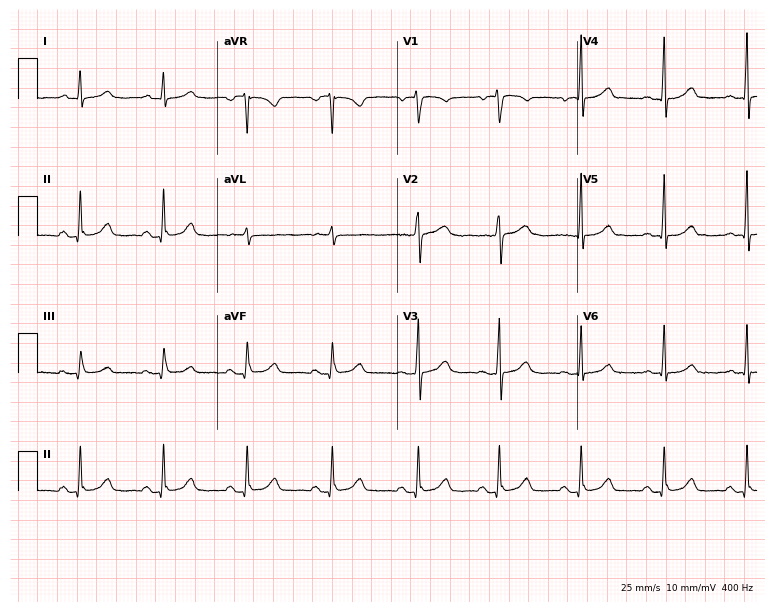
ECG (7.3-second recording at 400 Hz) — a female patient, 53 years old. Labelled as a normal ECG.